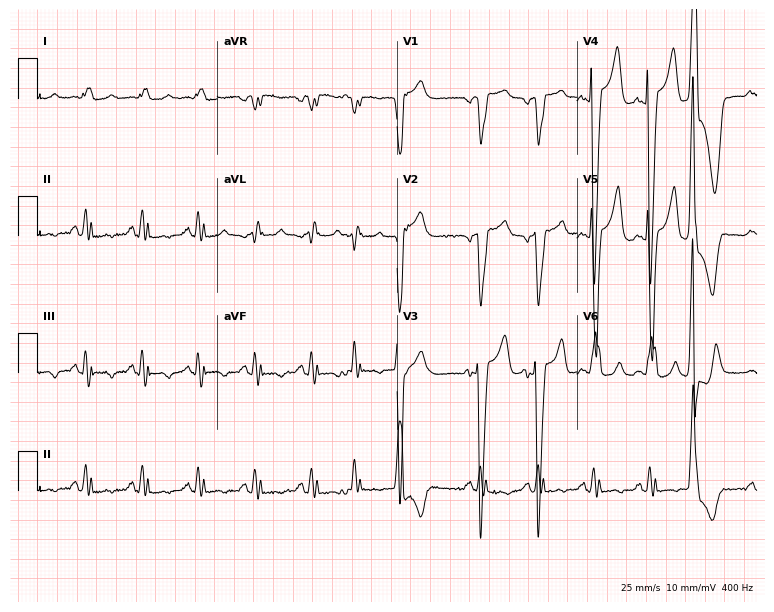
Electrocardiogram, an 82-year-old female. Interpretation includes left bundle branch block, sinus tachycardia (a sinus rate of 100 beats per minute or more).